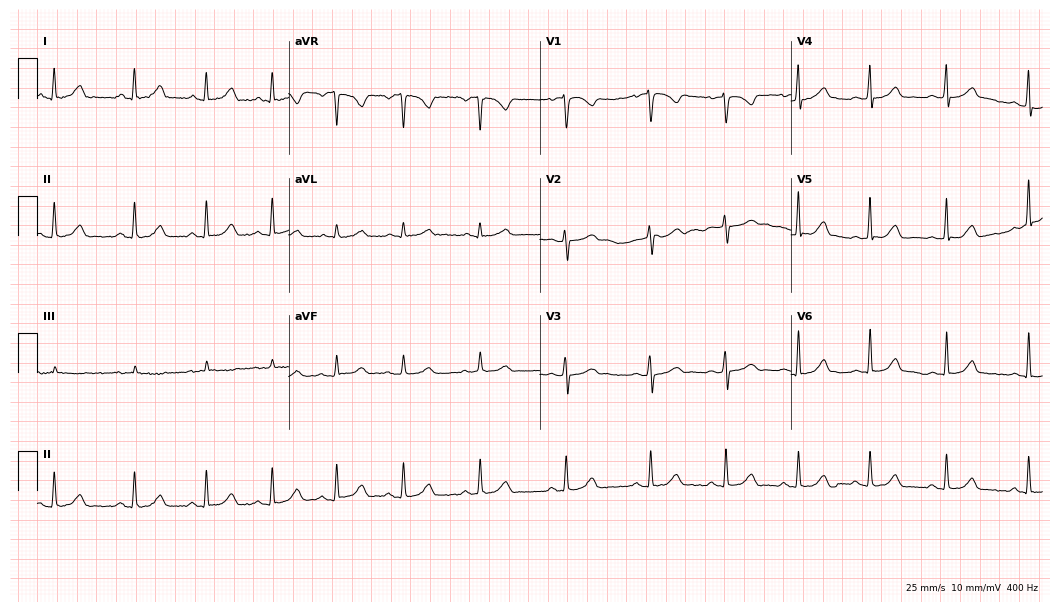
12-lead ECG from a 20-year-old female. Recorded interpretation: within normal limits.